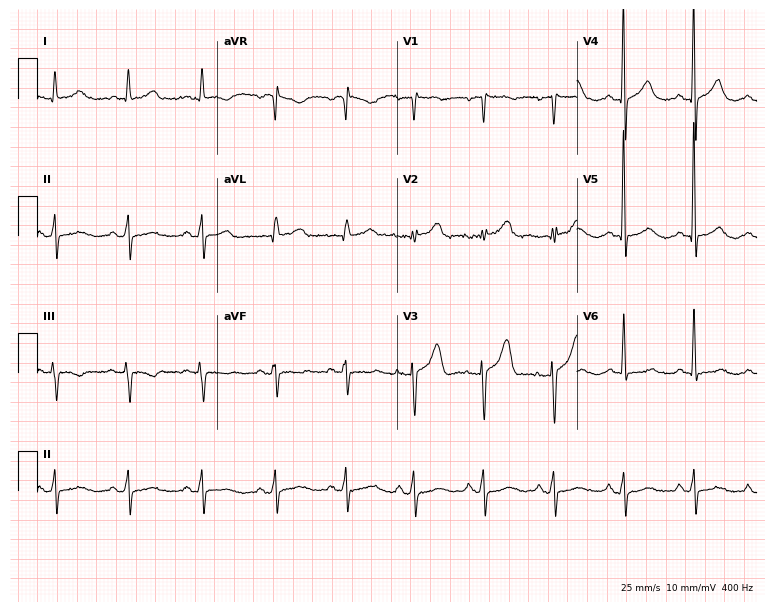
Electrocardiogram, a man, 82 years old. Of the six screened findings (first-degree AV block, right bundle branch block (RBBB), left bundle branch block (LBBB), sinus bradycardia, atrial fibrillation (AF), sinus tachycardia), none is recorded. Findings outside these six are not listed.